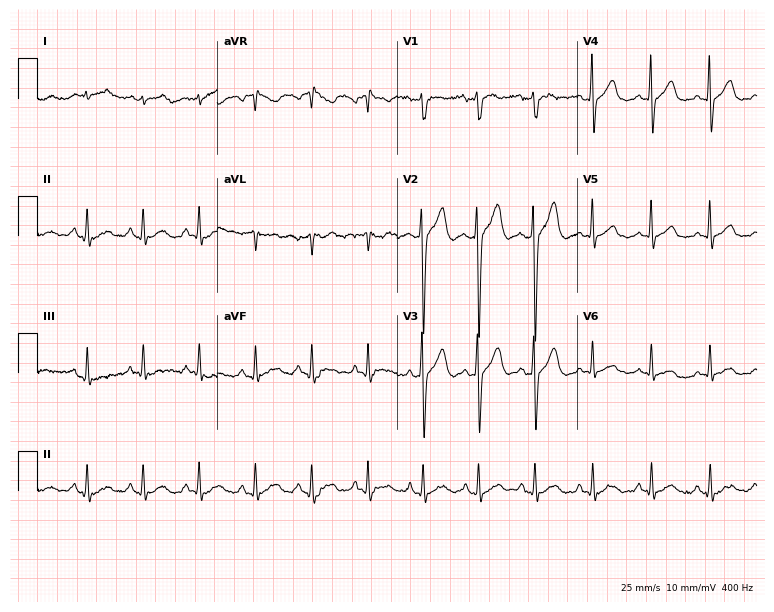
Resting 12-lead electrocardiogram. Patient: a 25-year-old male. None of these six findings is recorded: first-degree AV block, right bundle branch block, left bundle branch block, sinus bradycardia, atrial fibrillation, sinus tachycardia. Findings outside these six are not listed.